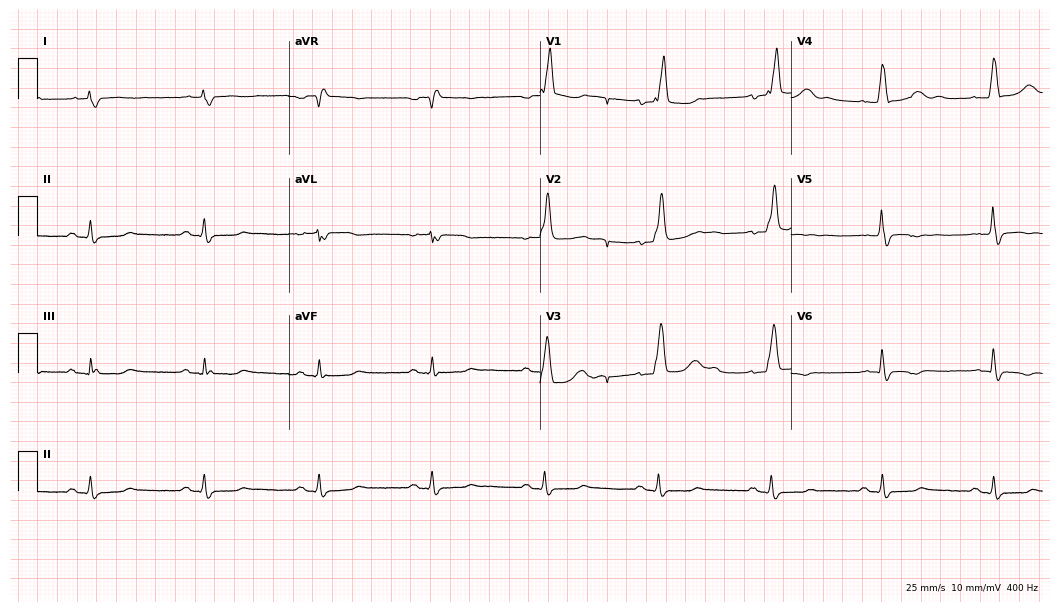
12-lead ECG from a man, 57 years old (10.2-second recording at 400 Hz). Shows right bundle branch block.